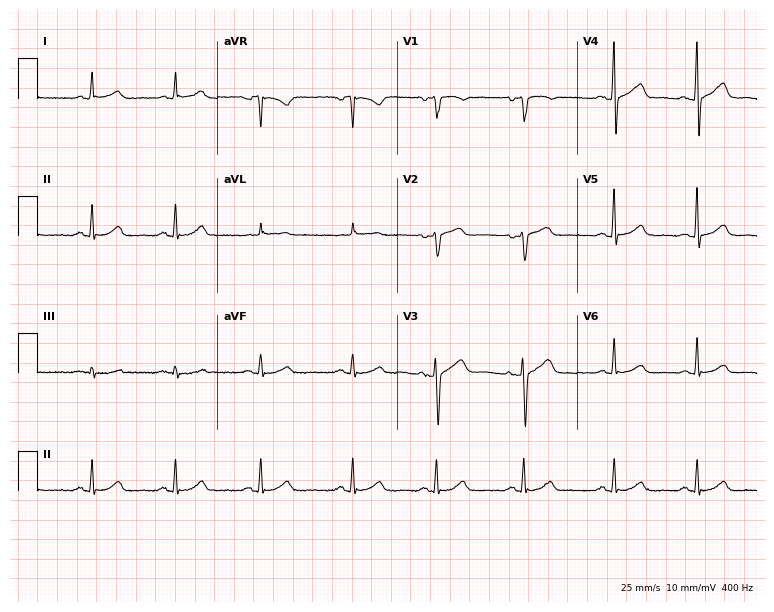
12-lead ECG from a female patient, 65 years old. Recorded interpretation: within normal limits.